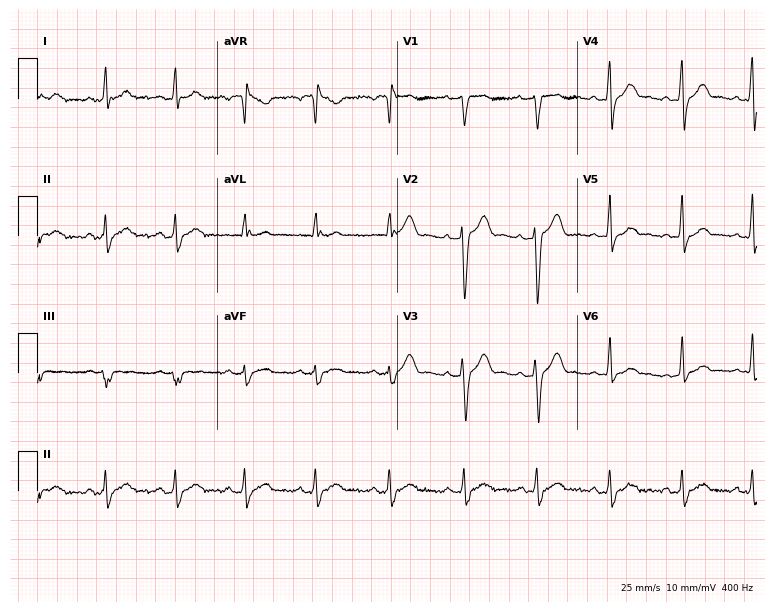
Standard 12-lead ECG recorded from a male, 32 years old (7.3-second recording at 400 Hz). None of these six findings is recorded: first-degree AV block, right bundle branch block, left bundle branch block, sinus bradycardia, atrial fibrillation, sinus tachycardia.